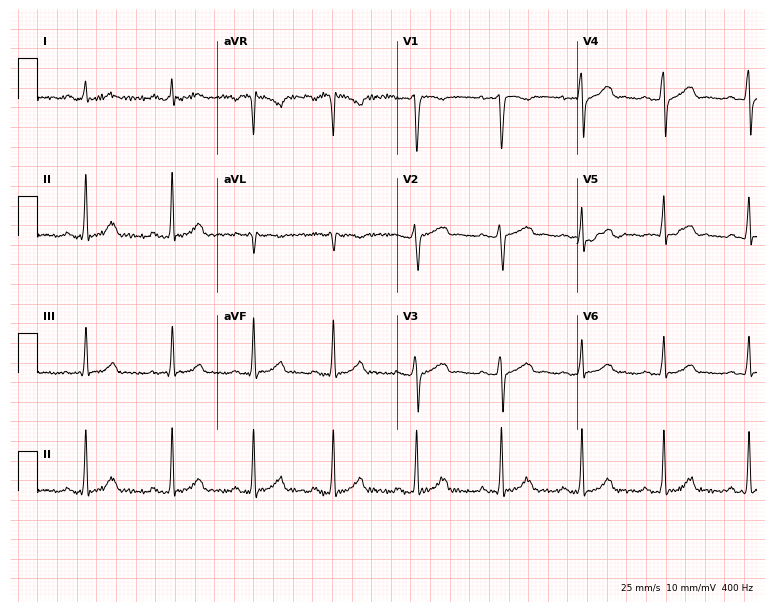
ECG (7.3-second recording at 400 Hz) — a woman, 31 years old. Labelled as a normal ECG.